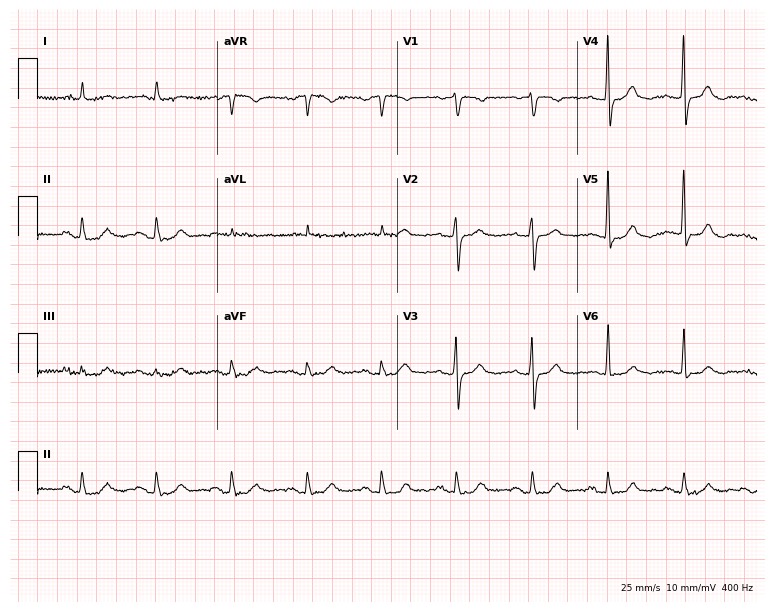
ECG — a woman, 84 years old. Screened for six findings — first-degree AV block, right bundle branch block, left bundle branch block, sinus bradycardia, atrial fibrillation, sinus tachycardia — none is recorded. Only these six findings were labelled.